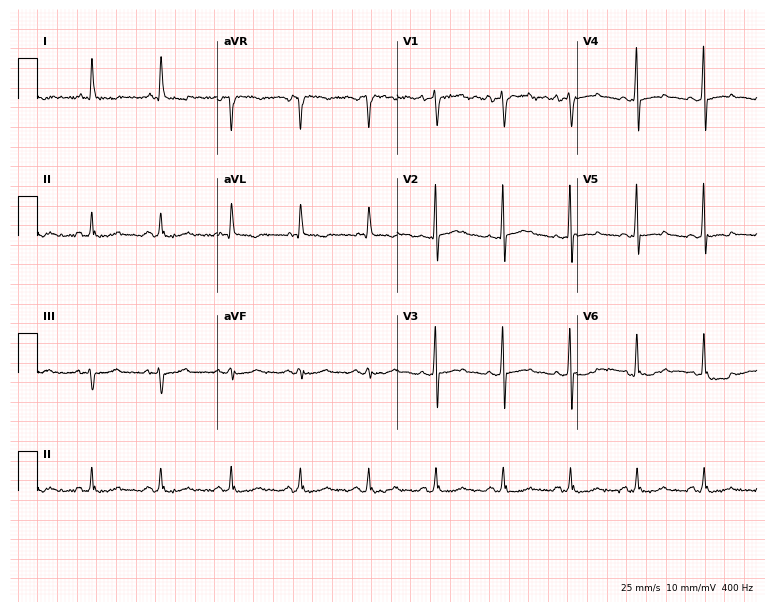
Electrocardiogram (7.3-second recording at 400 Hz), a 57-year-old male patient. Of the six screened findings (first-degree AV block, right bundle branch block (RBBB), left bundle branch block (LBBB), sinus bradycardia, atrial fibrillation (AF), sinus tachycardia), none is recorded. Only these six findings were labelled.